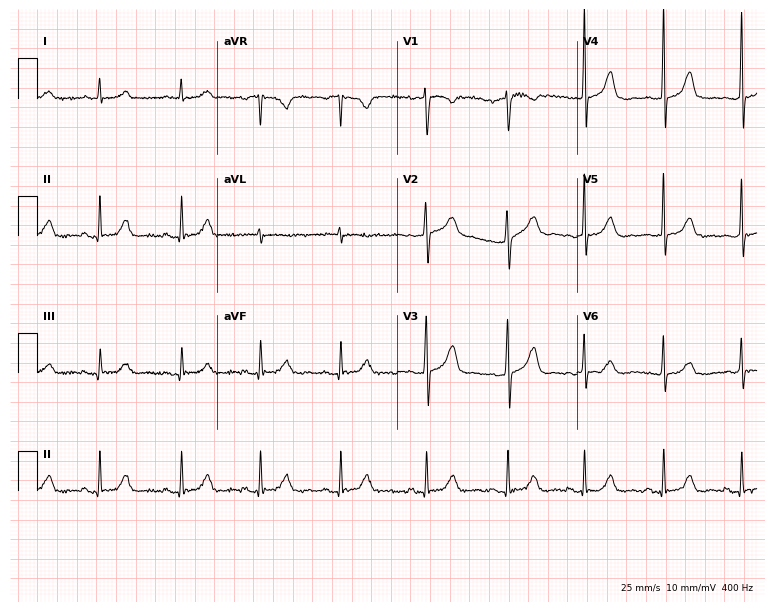
Standard 12-lead ECG recorded from a woman, 37 years old. Read as a normal ECG.